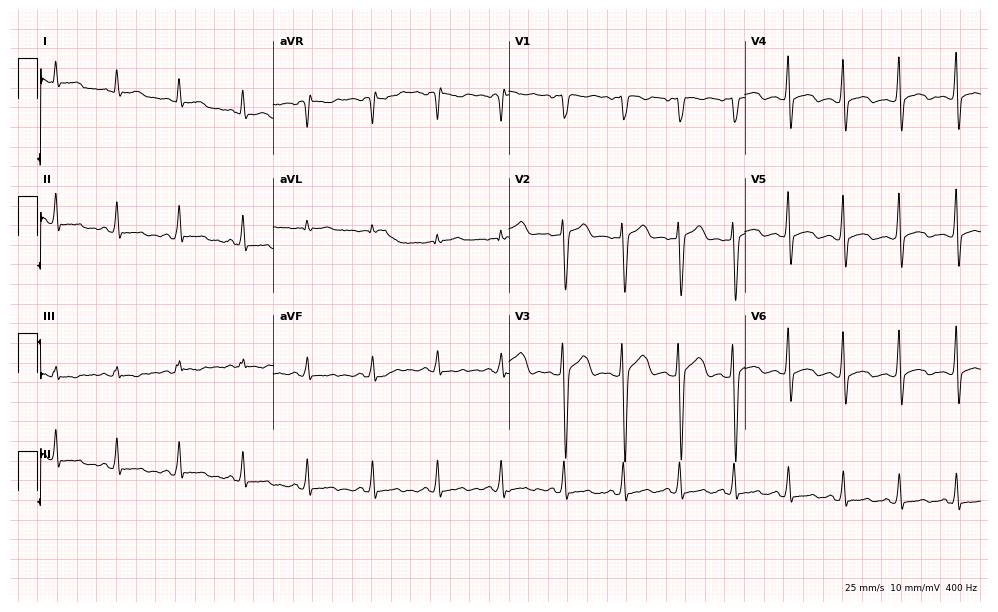
Standard 12-lead ECG recorded from a 36-year-old male patient. None of these six findings is recorded: first-degree AV block, right bundle branch block, left bundle branch block, sinus bradycardia, atrial fibrillation, sinus tachycardia.